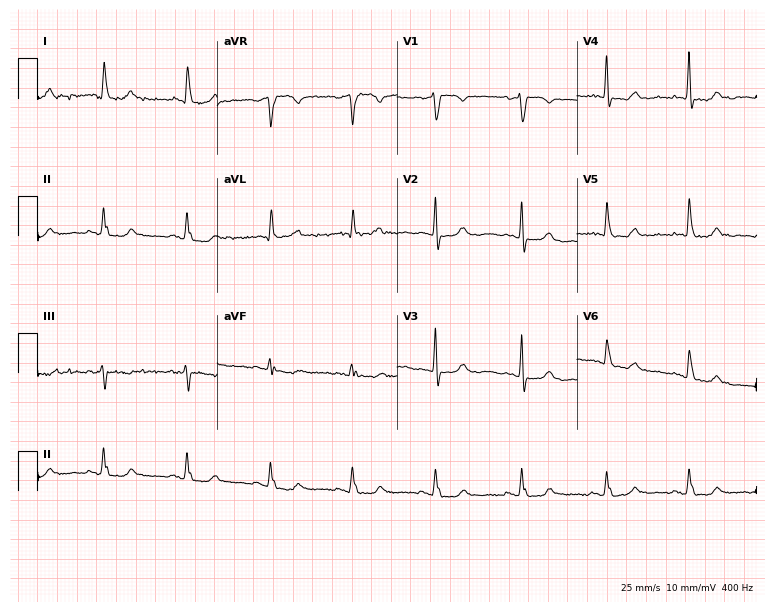
ECG (7.3-second recording at 400 Hz) — an 80-year-old female. Screened for six findings — first-degree AV block, right bundle branch block (RBBB), left bundle branch block (LBBB), sinus bradycardia, atrial fibrillation (AF), sinus tachycardia — none is recorded. Findings outside these six are not listed.